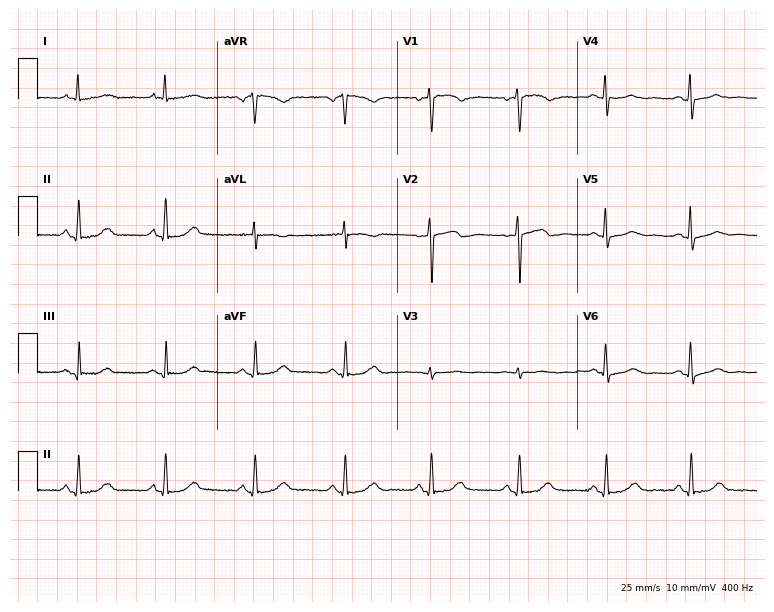
12-lead ECG (7.3-second recording at 400 Hz) from a female patient, 57 years old. Labelled as a normal ECG.